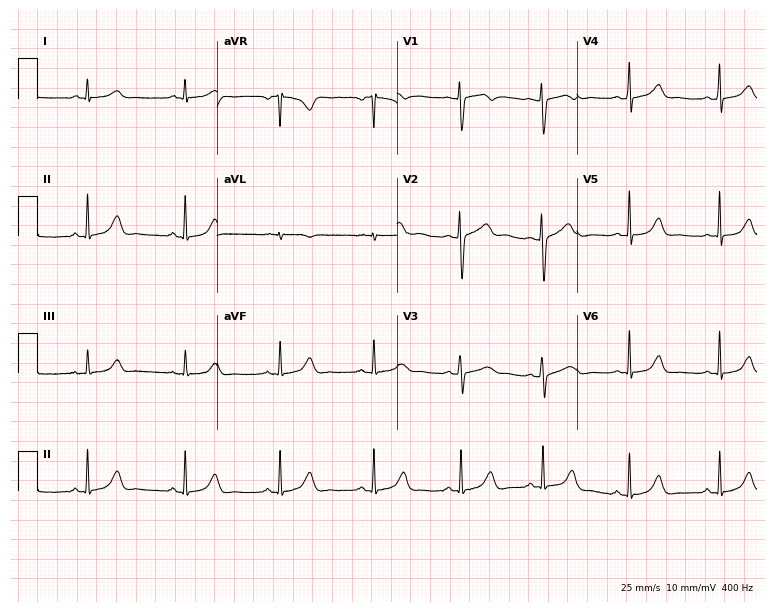
Resting 12-lead electrocardiogram. Patient: a 38-year-old woman. Read as a normal ECG.